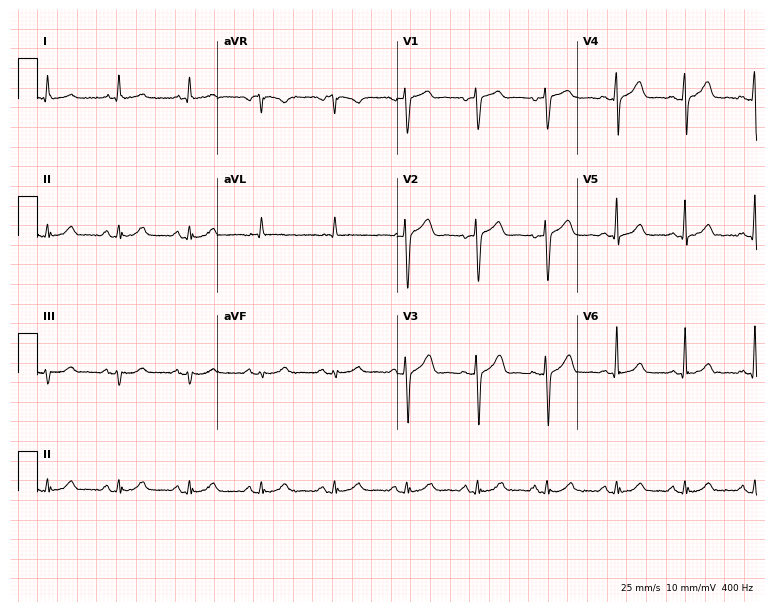
12-lead ECG from a 49-year-old male patient. Labelled as a normal ECG.